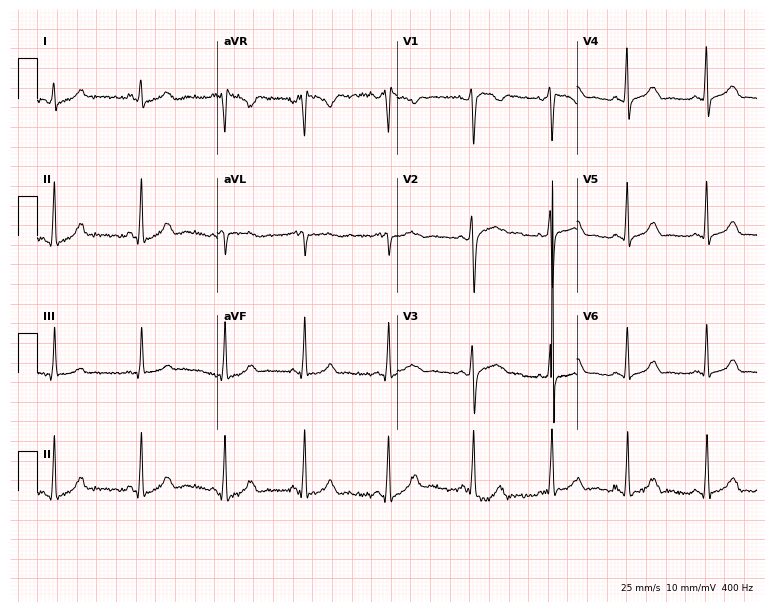
ECG (7.3-second recording at 400 Hz) — a 29-year-old female. Screened for six findings — first-degree AV block, right bundle branch block, left bundle branch block, sinus bradycardia, atrial fibrillation, sinus tachycardia — none is recorded.